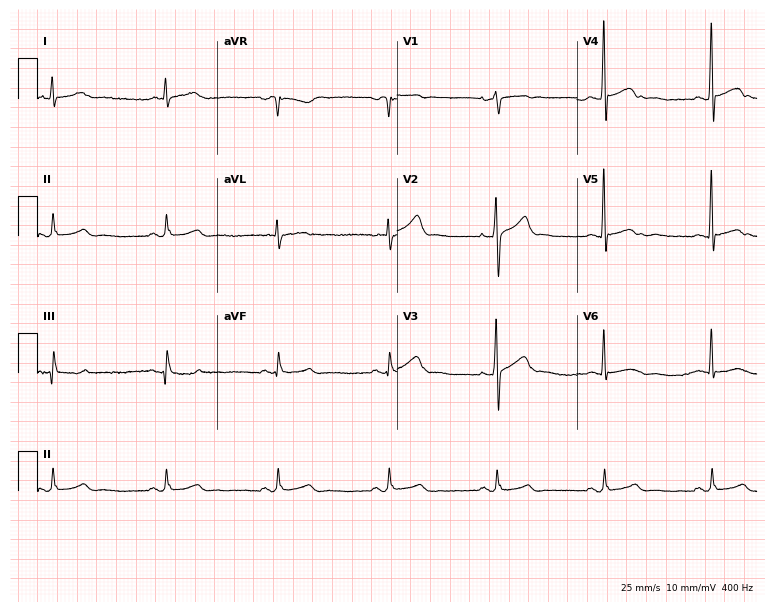
12-lead ECG from a 46-year-old male. No first-degree AV block, right bundle branch block (RBBB), left bundle branch block (LBBB), sinus bradycardia, atrial fibrillation (AF) or sinus tachycardia recorded for this tracing.